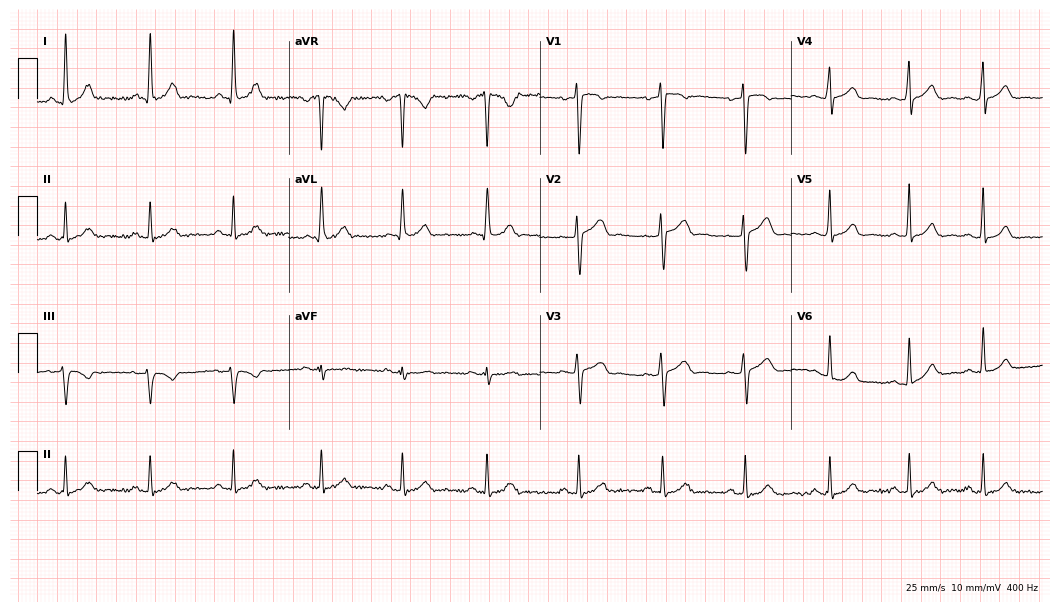
Standard 12-lead ECG recorded from a 28-year-old female. Read as a normal ECG.